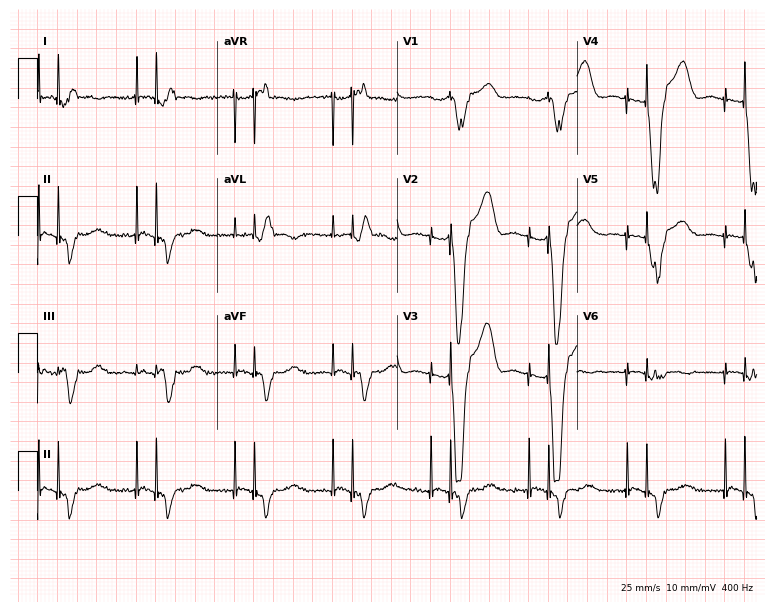
Resting 12-lead electrocardiogram. Patient: a man, 61 years old. None of these six findings is recorded: first-degree AV block, right bundle branch block, left bundle branch block, sinus bradycardia, atrial fibrillation, sinus tachycardia. Findings outside these six are not listed.